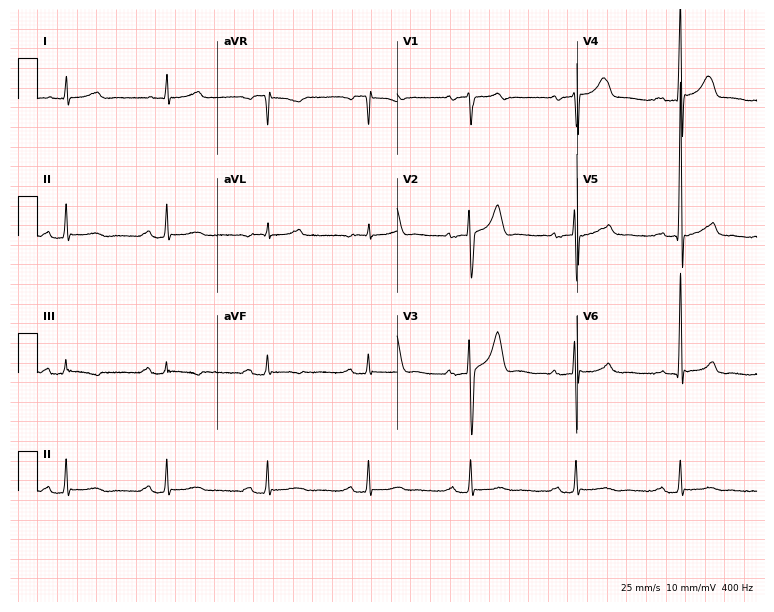
Standard 12-lead ECG recorded from a male, 74 years old. Read as a normal ECG.